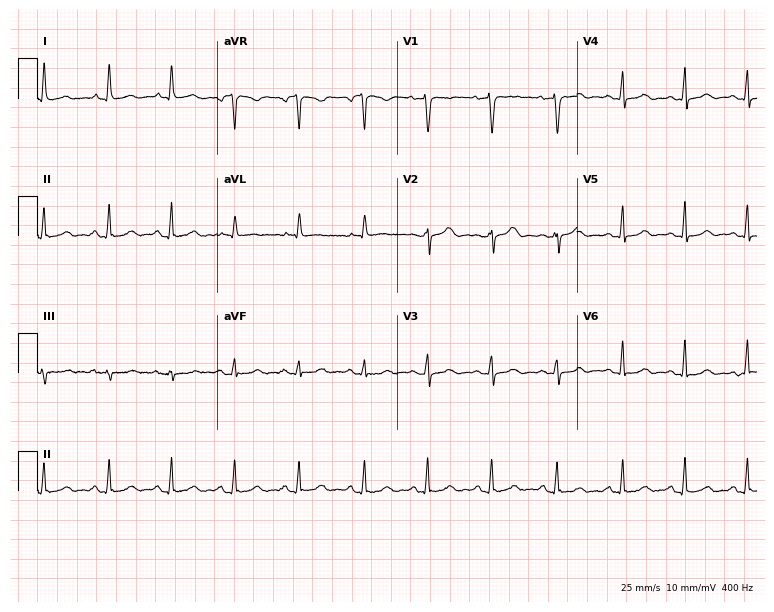
Electrocardiogram, a 41-year-old female patient. Overall reading on record: normal ECG.